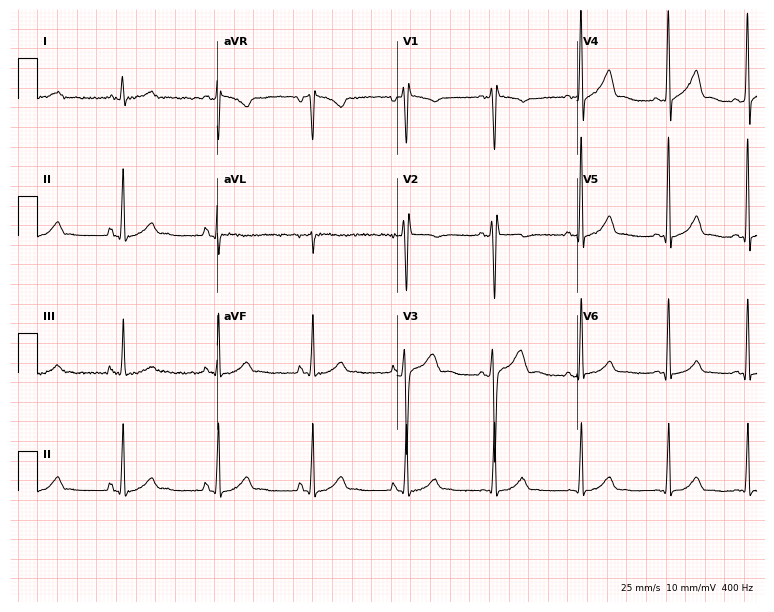
12-lead ECG from an 18-year-old woman. Labelled as a normal ECG.